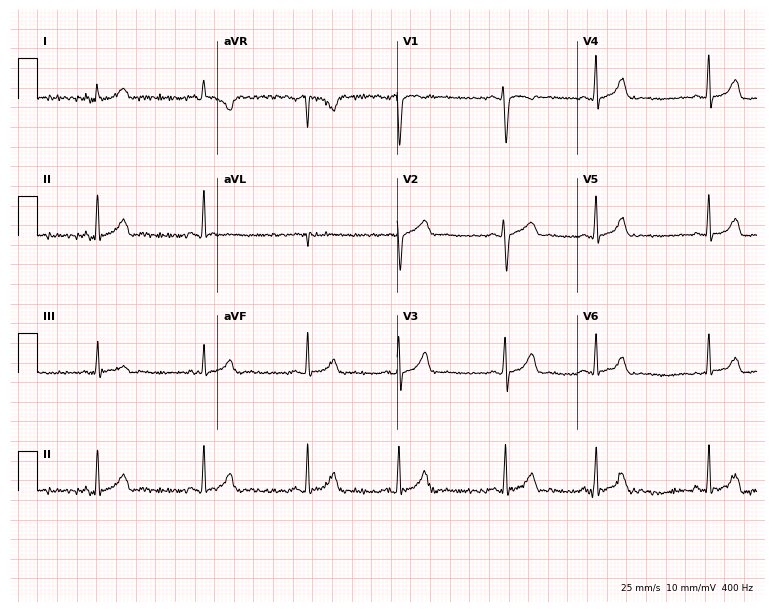
12-lead ECG from a 25-year-old female patient (7.3-second recording at 400 Hz). No first-degree AV block, right bundle branch block, left bundle branch block, sinus bradycardia, atrial fibrillation or sinus tachycardia recorded for this tracing. Findings outside these six are not listed.